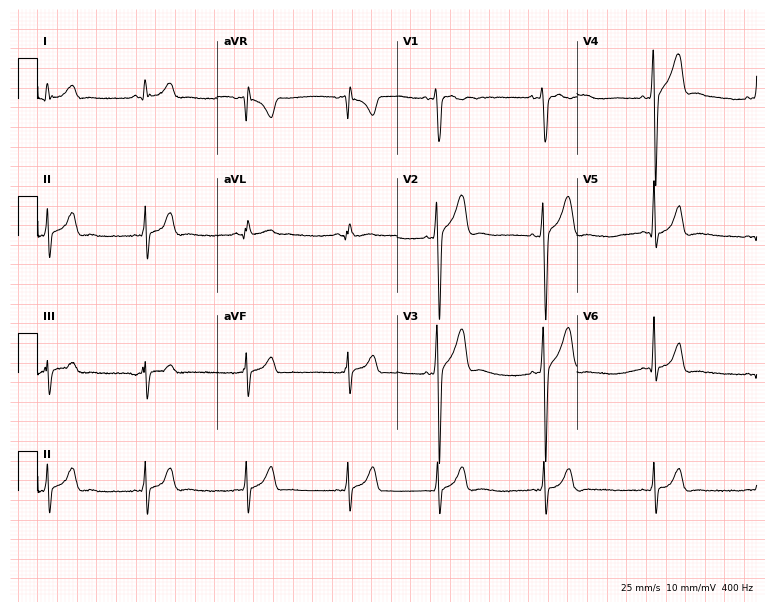
Electrocardiogram, a male, 17 years old. Overall reading on record: normal ECG.